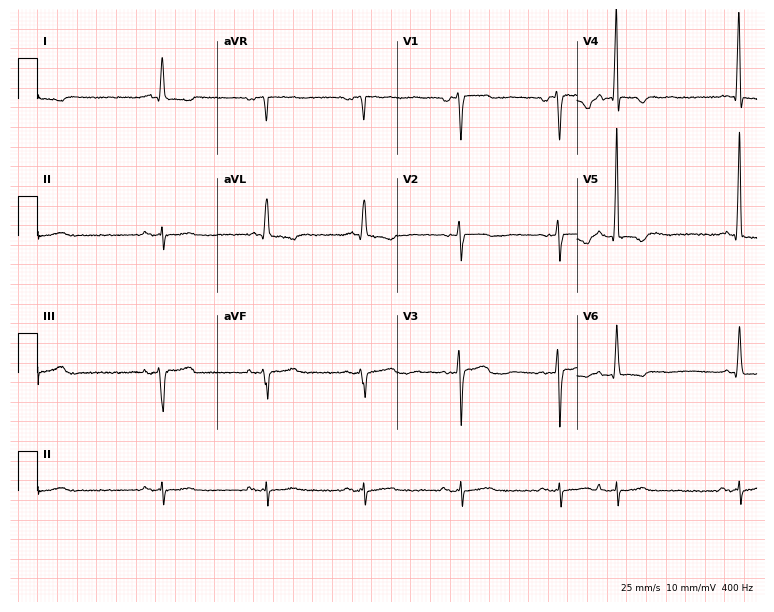
ECG — a male, 73 years old. Screened for six findings — first-degree AV block, right bundle branch block, left bundle branch block, sinus bradycardia, atrial fibrillation, sinus tachycardia — none is recorded. Only these six findings were labelled.